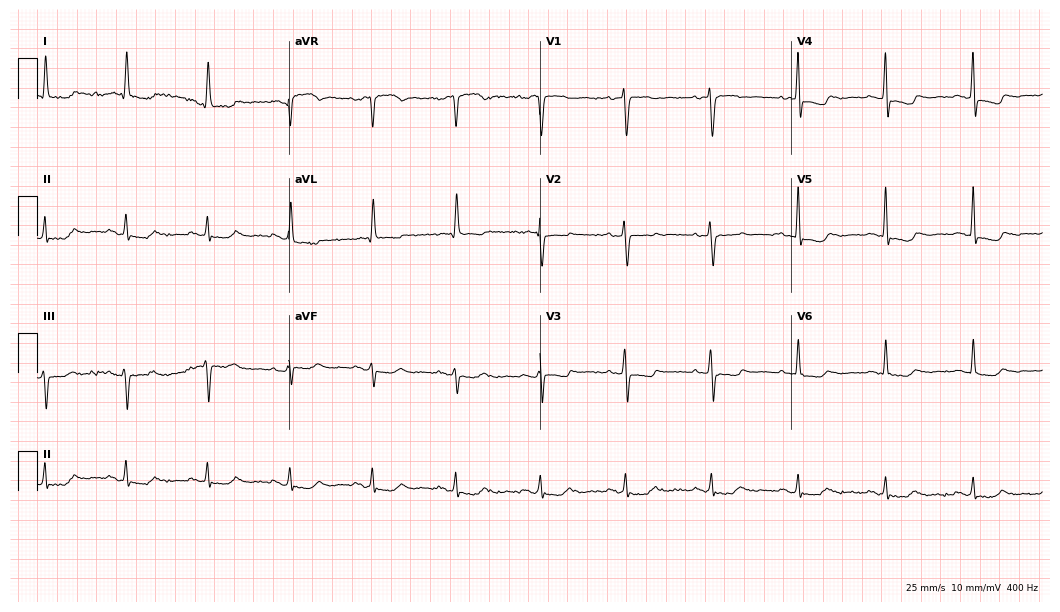
Resting 12-lead electrocardiogram. Patient: a female, 82 years old. None of these six findings is recorded: first-degree AV block, right bundle branch block, left bundle branch block, sinus bradycardia, atrial fibrillation, sinus tachycardia.